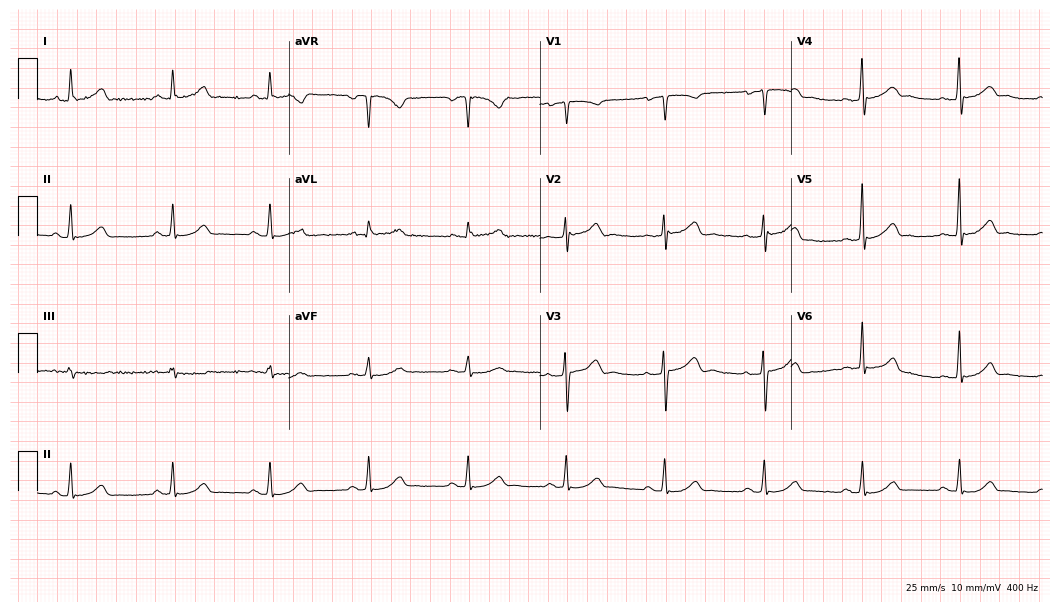
Electrocardiogram, a woman, 42 years old. Overall reading on record: normal ECG.